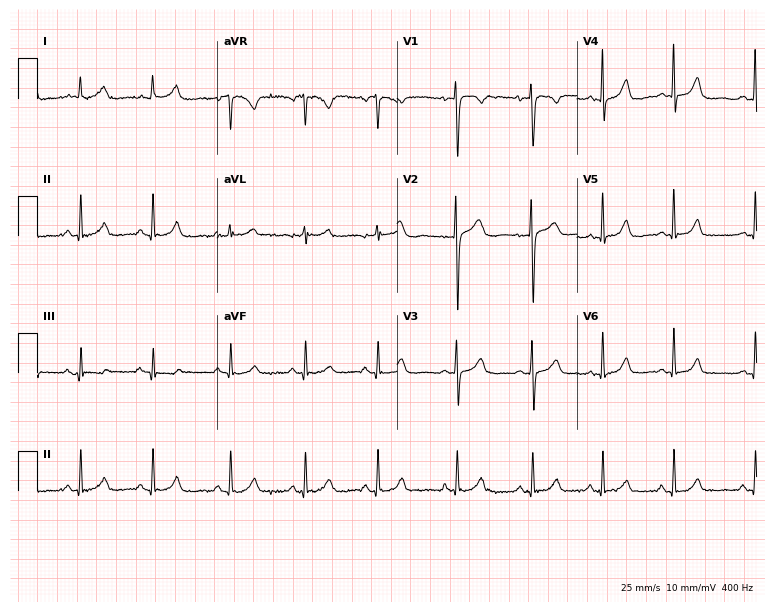
Resting 12-lead electrocardiogram. Patient: a 33-year-old woman. None of these six findings is recorded: first-degree AV block, right bundle branch block (RBBB), left bundle branch block (LBBB), sinus bradycardia, atrial fibrillation (AF), sinus tachycardia.